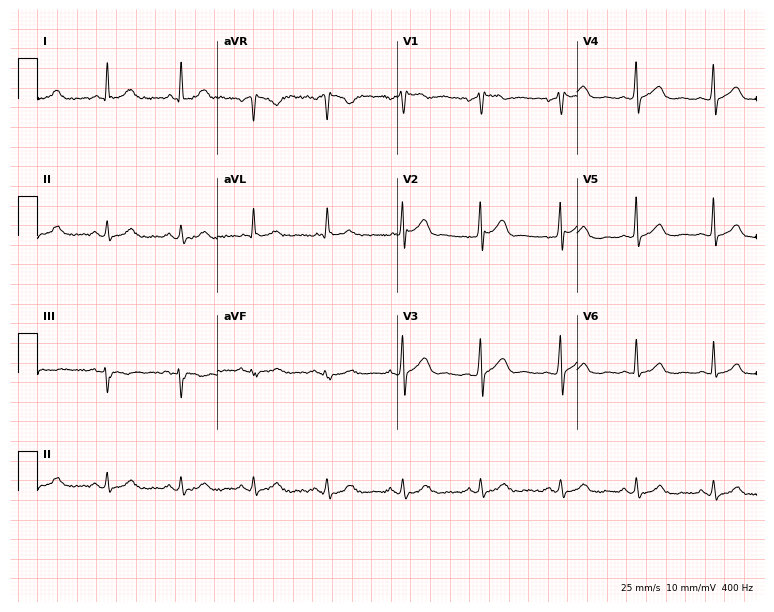
ECG (7.3-second recording at 400 Hz) — a man, 49 years old. Screened for six findings — first-degree AV block, right bundle branch block (RBBB), left bundle branch block (LBBB), sinus bradycardia, atrial fibrillation (AF), sinus tachycardia — none is recorded.